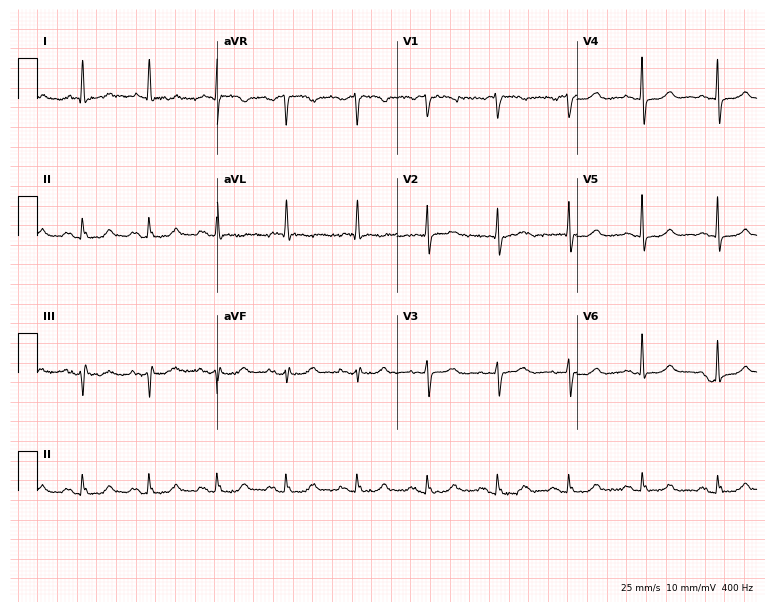
ECG (7.3-second recording at 400 Hz) — a 77-year-old female. Labelled as a normal ECG.